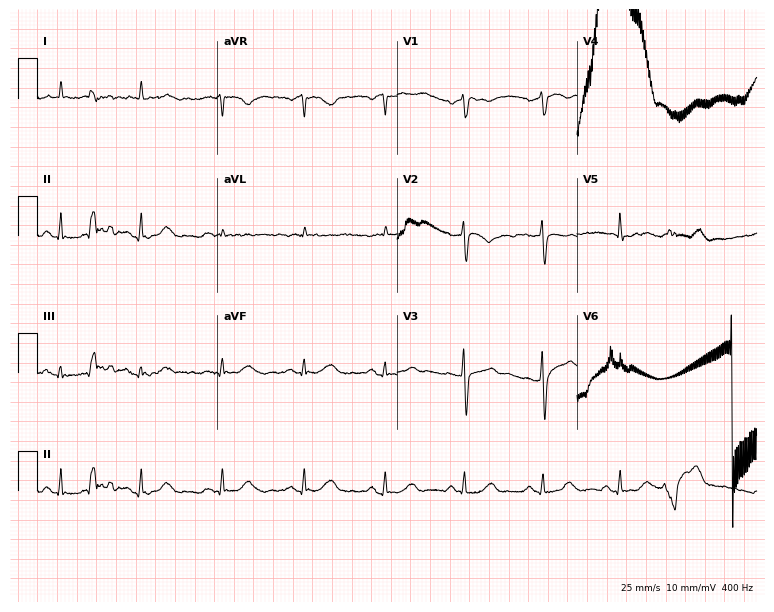
12-lead ECG (7.3-second recording at 400 Hz) from a 78-year-old male patient. Findings include sinus tachycardia (a sinus rate of 100 beats per minute or more).